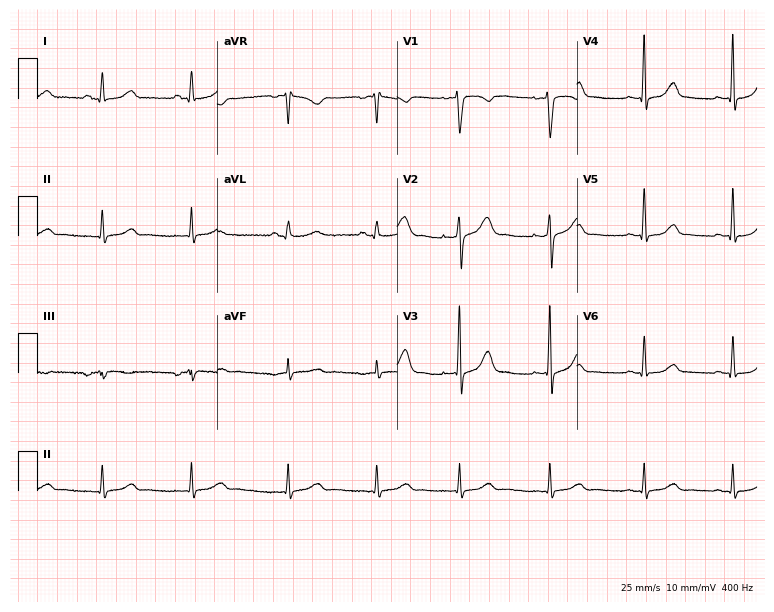
12-lead ECG from a woman, 29 years old (7.3-second recording at 400 Hz). No first-degree AV block, right bundle branch block, left bundle branch block, sinus bradycardia, atrial fibrillation or sinus tachycardia recorded for this tracing. Other findings, if any, are not listed.